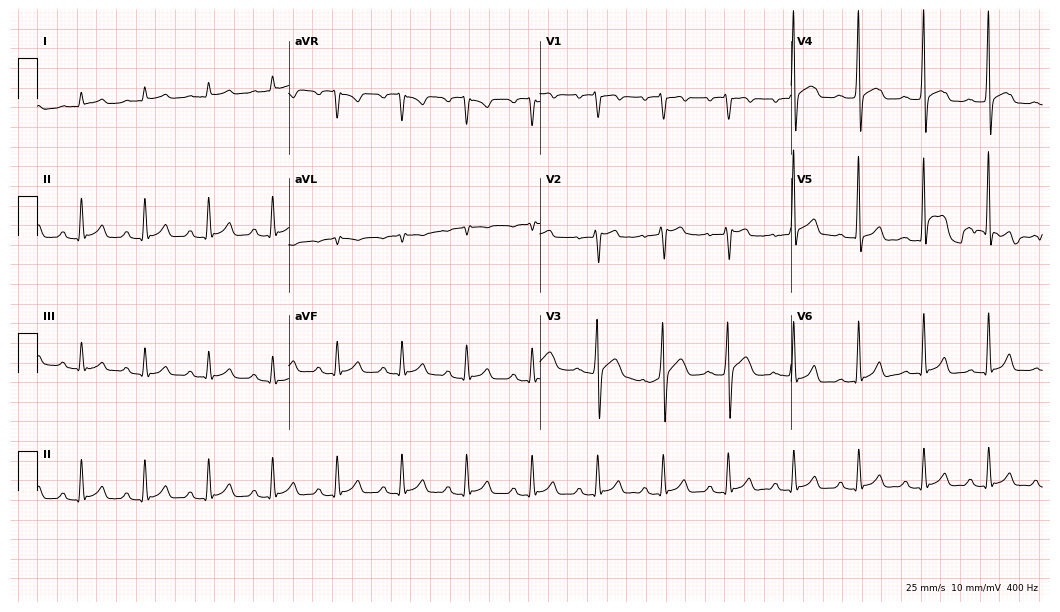
ECG — a man, 36 years old. Labelled as a normal ECG.